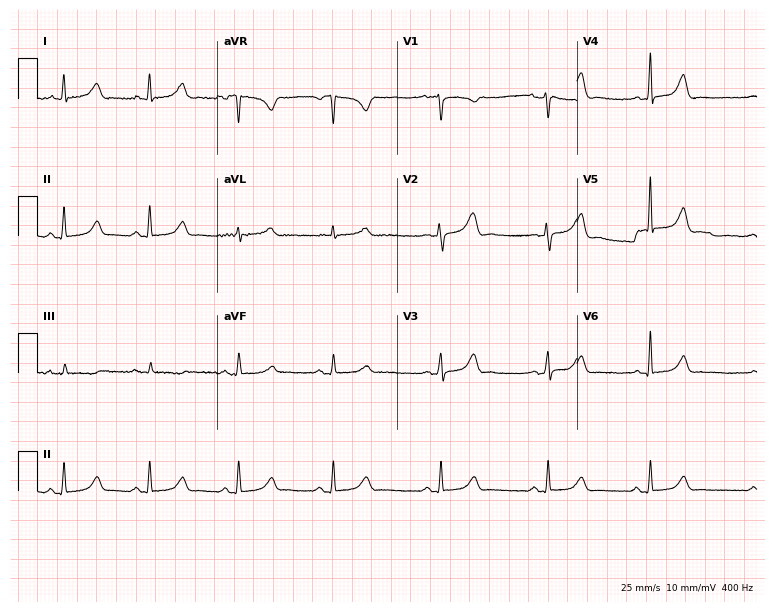
Resting 12-lead electrocardiogram. Patient: a 39-year-old female. Read as a normal ECG.